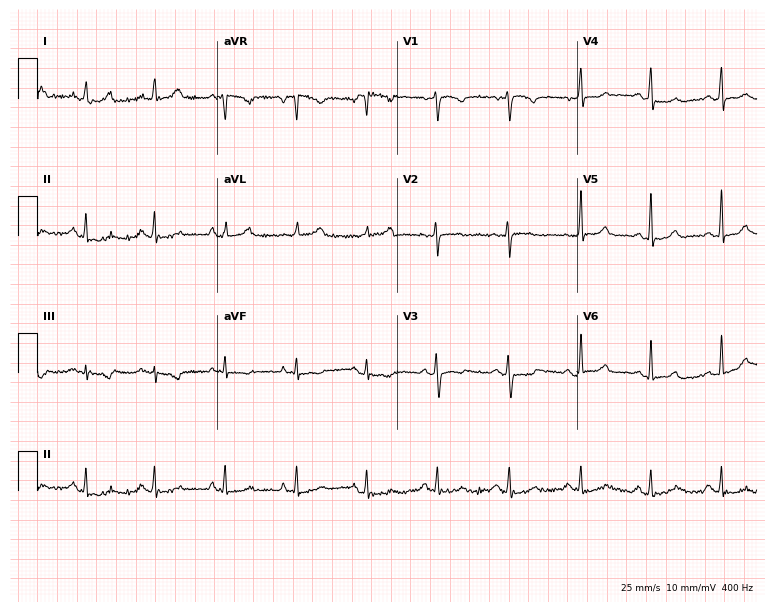
Standard 12-lead ECG recorded from a 22-year-old female patient (7.3-second recording at 400 Hz). Read as a normal ECG.